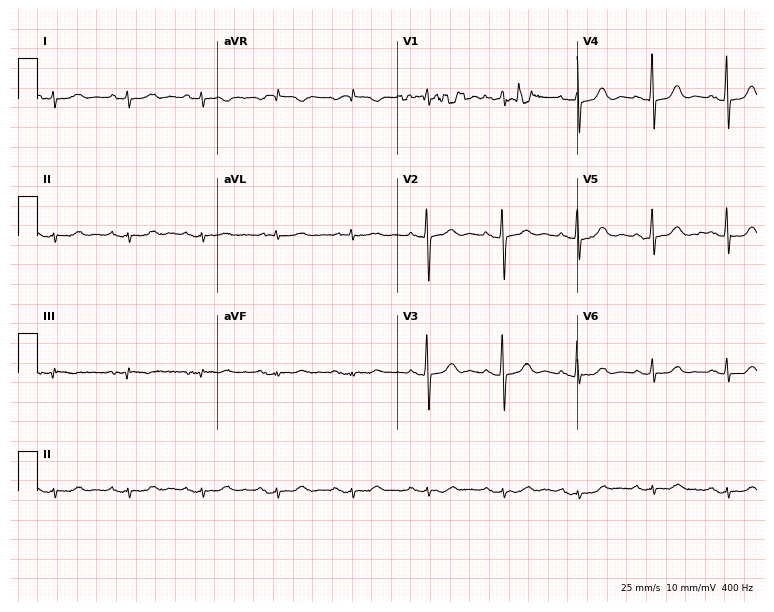
12-lead ECG from a 77-year-old female patient. Screened for six findings — first-degree AV block, right bundle branch block, left bundle branch block, sinus bradycardia, atrial fibrillation, sinus tachycardia — none is recorded. Only these six findings were labelled.